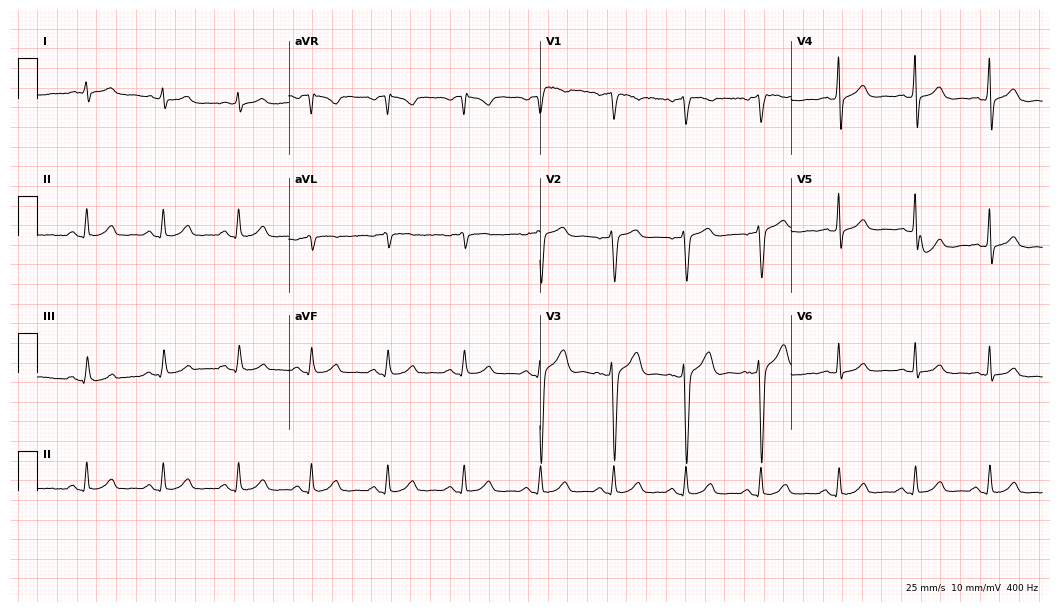
Electrocardiogram (10.2-second recording at 400 Hz), a 41-year-old man. Overall reading on record: normal ECG.